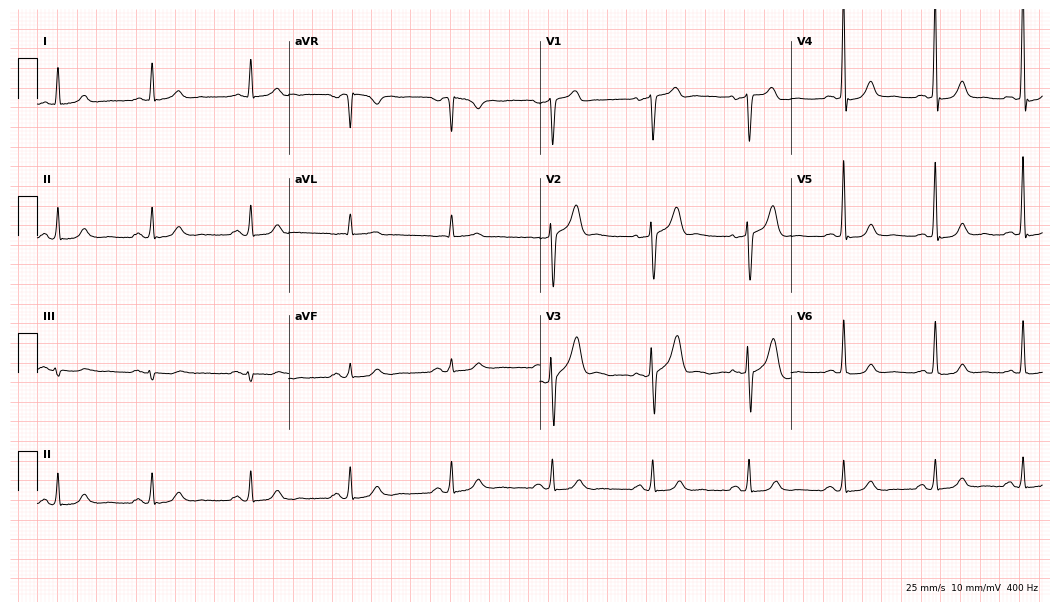
12-lead ECG from a man, 58 years old (10.2-second recording at 400 Hz). Recorded interpretation: within normal limits.